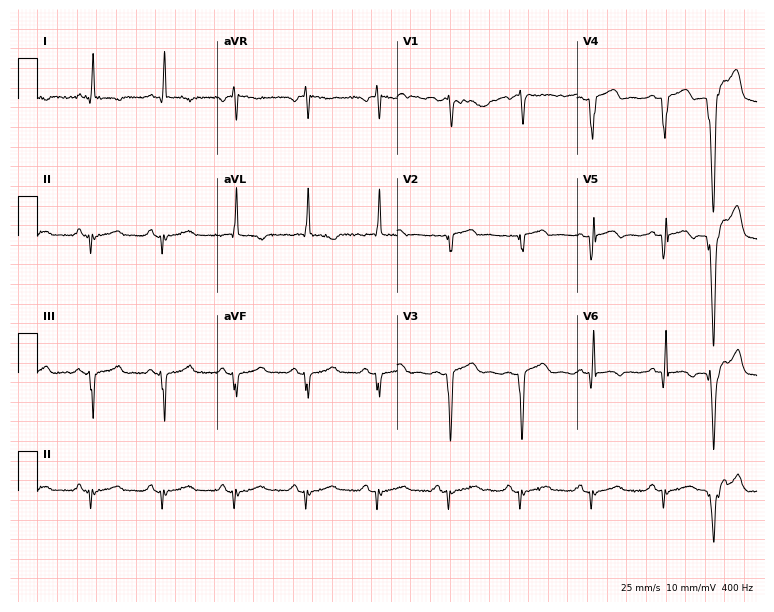
Electrocardiogram, a female, 76 years old. Of the six screened findings (first-degree AV block, right bundle branch block, left bundle branch block, sinus bradycardia, atrial fibrillation, sinus tachycardia), none is recorded. Only these six findings were labelled.